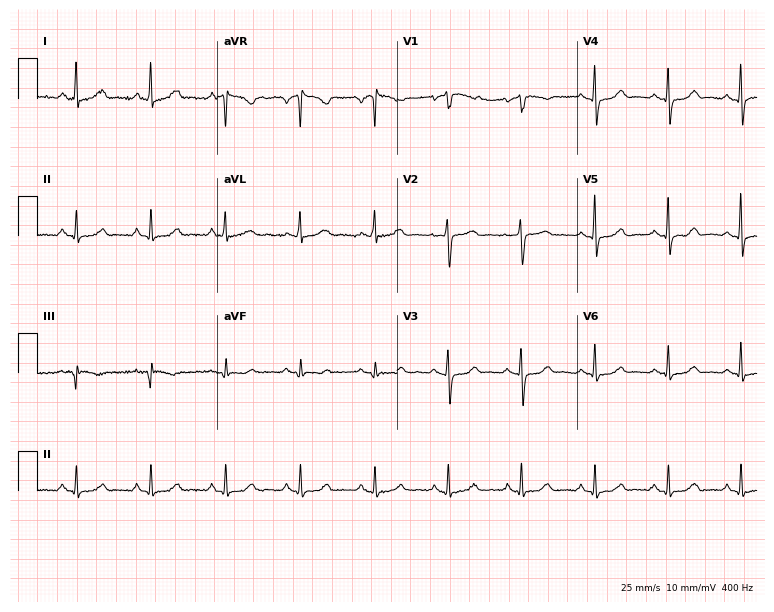
Electrocardiogram (7.3-second recording at 400 Hz), a woman, 53 years old. Overall reading on record: normal ECG.